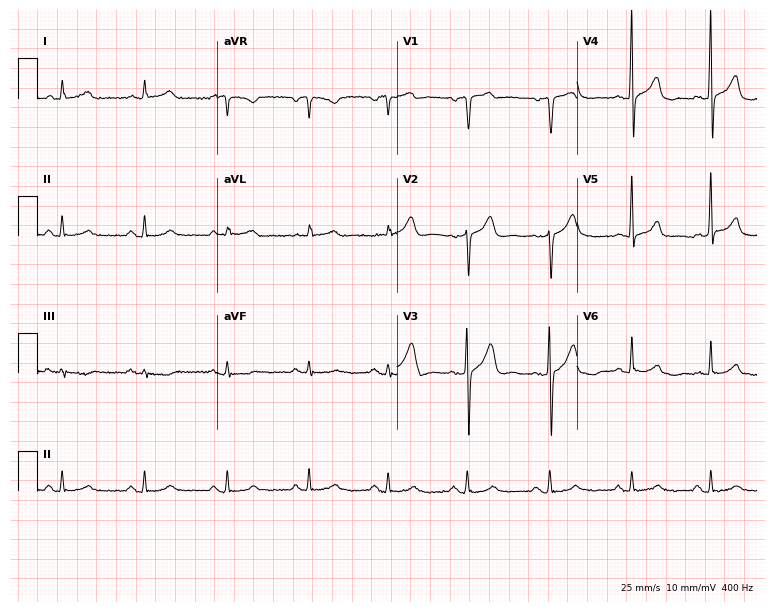
12-lead ECG from a male patient, 58 years old. No first-degree AV block, right bundle branch block, left bundle branch block, sinus bradycardia, atrial fibrillation or sinus tachycardia recorded for this tracing. Only these six findings were labelled.